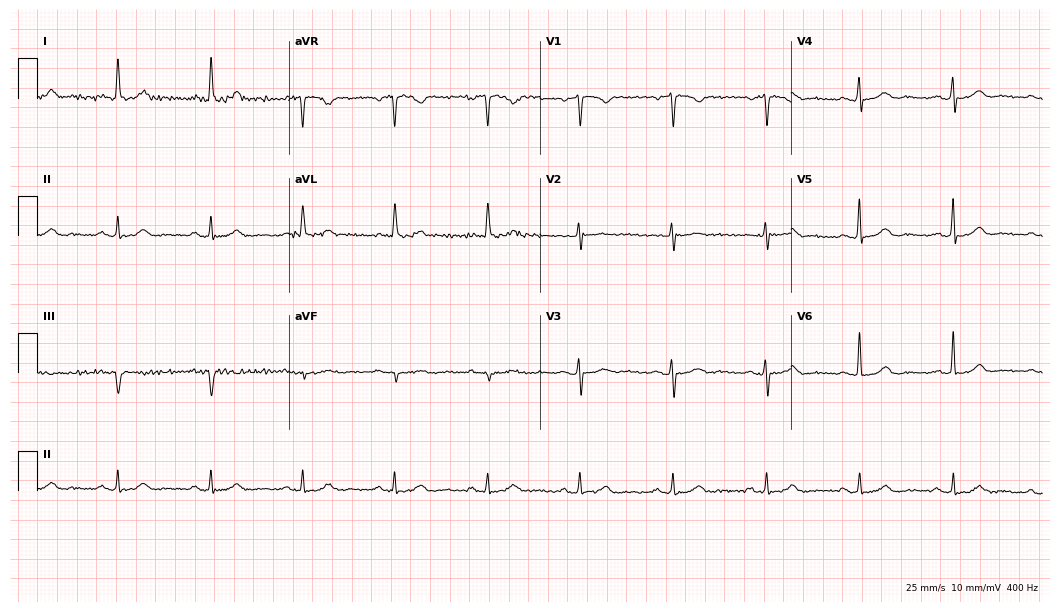
12-lead ECG (10.2-second recording at 400 Hz) from a female patient, 83 years old. Labelled as a normal ECG.